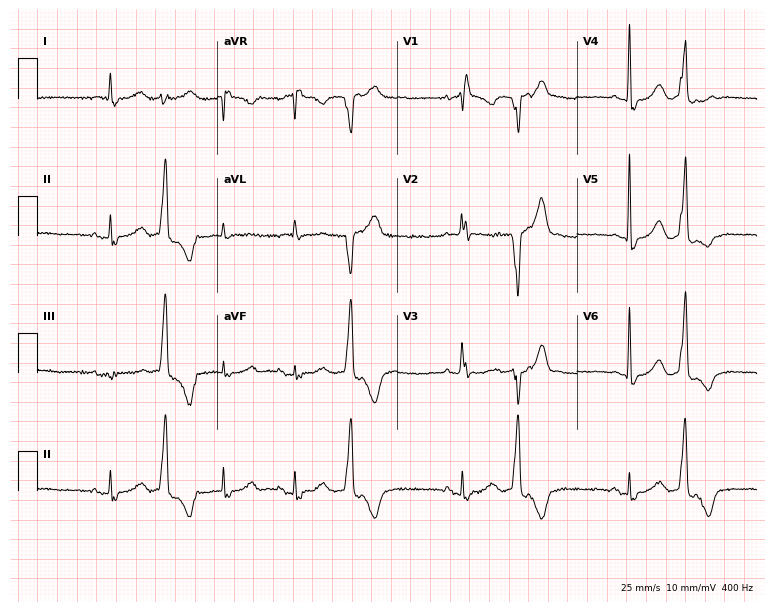
Standard 12-lead ECG recorded from a 63-year-old woman. The tracing shows right bundle branch block.